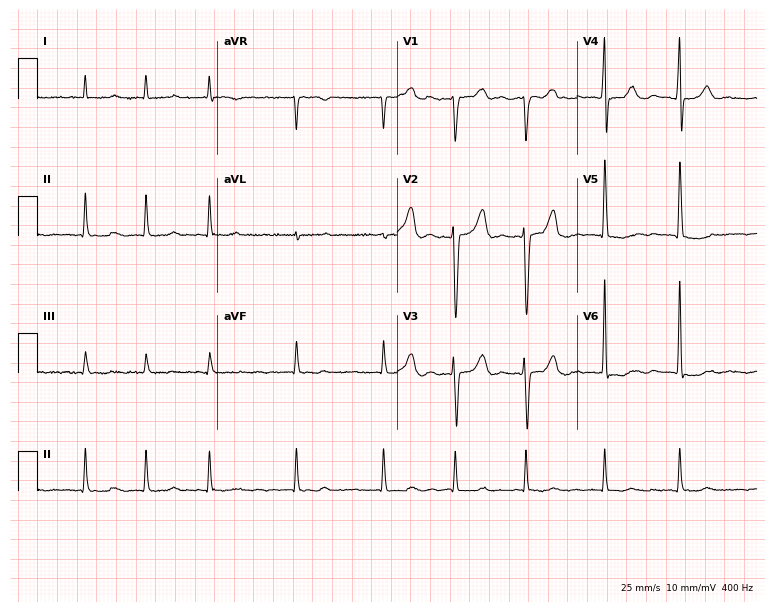
Electrocardiogram, a 69-year-old man. Interpretation includes atrial fibrillation (AF).